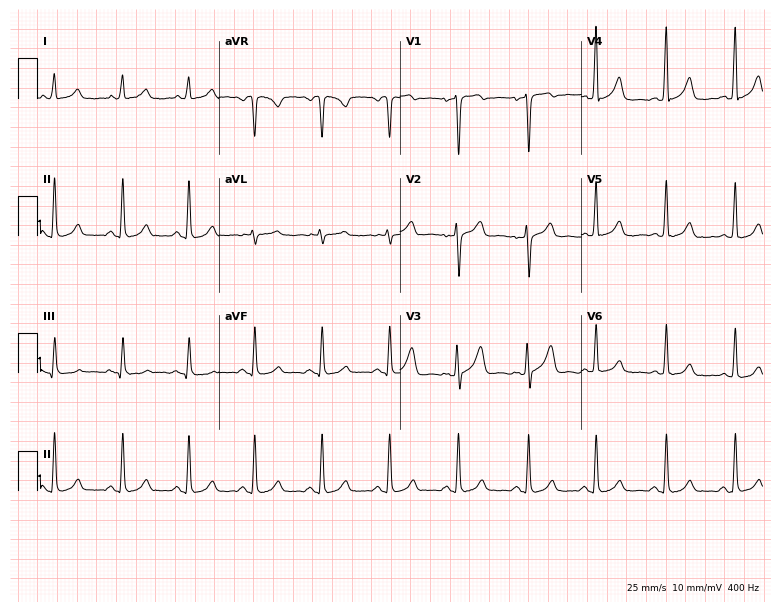
Standard 12-lead ECG recorded from a 39-year-old woman. Read as a normal ECG.